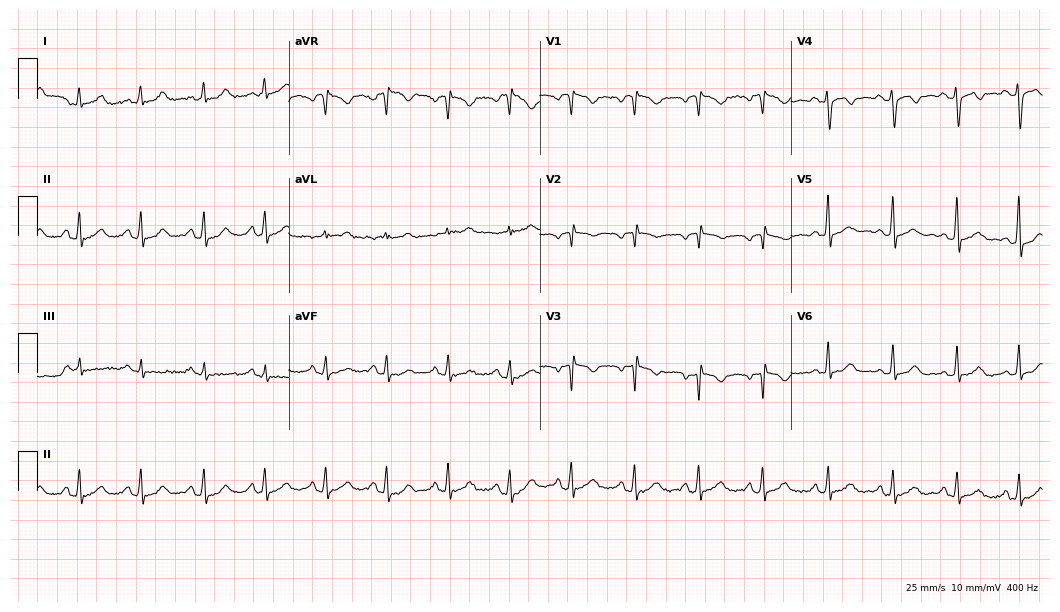
Standard 12-lead ECG recorded from a 40-year-old female. None of these six findings is recorded: first-degree AV block, right bundle branch block, left bundle branch block, sinus bradycardia, atrial fibrillation, sinus tachycardia.